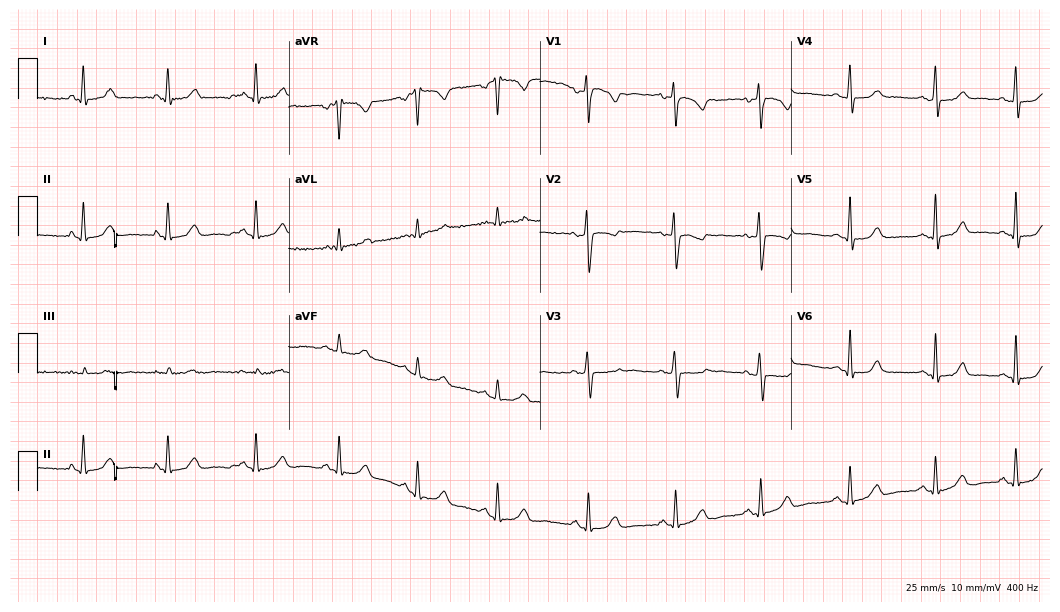
Standard 12-lead ECG recorded from a 42-year-old woman (10.2-second recording at 400 Hz). None of these six findings is recorded: first-degree AV block, right bundle branch block (RBBB), left bundle branch block (LBBB), sinus bradycardia, atrial fibrillation (AF), sinus tachycardia.